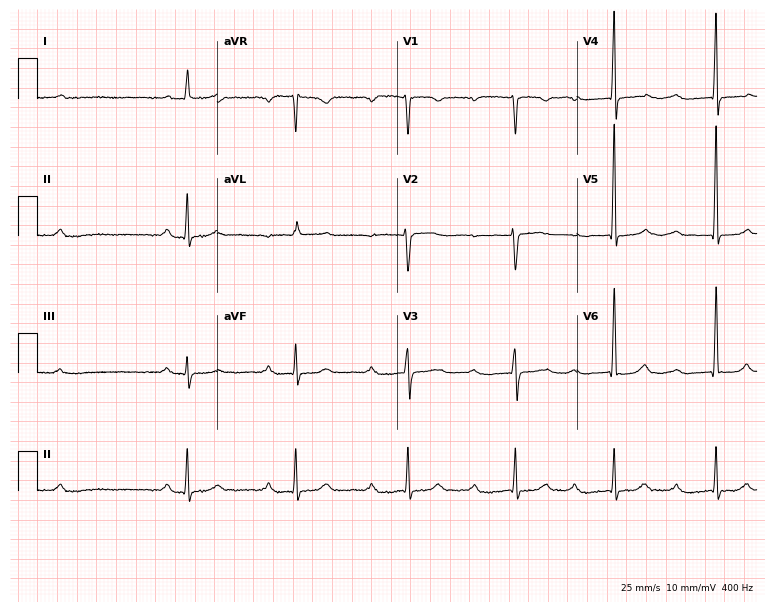
ECG — a 59-year-old female. Screened for six findings — first-degree AV block, right bundle branch block (RBBB), left bundle branch block (LBBB), sinus bradycardia, atrial fibrillation (AF), sinus tachycardia — none is recorded. Findings outside these six are not listed.